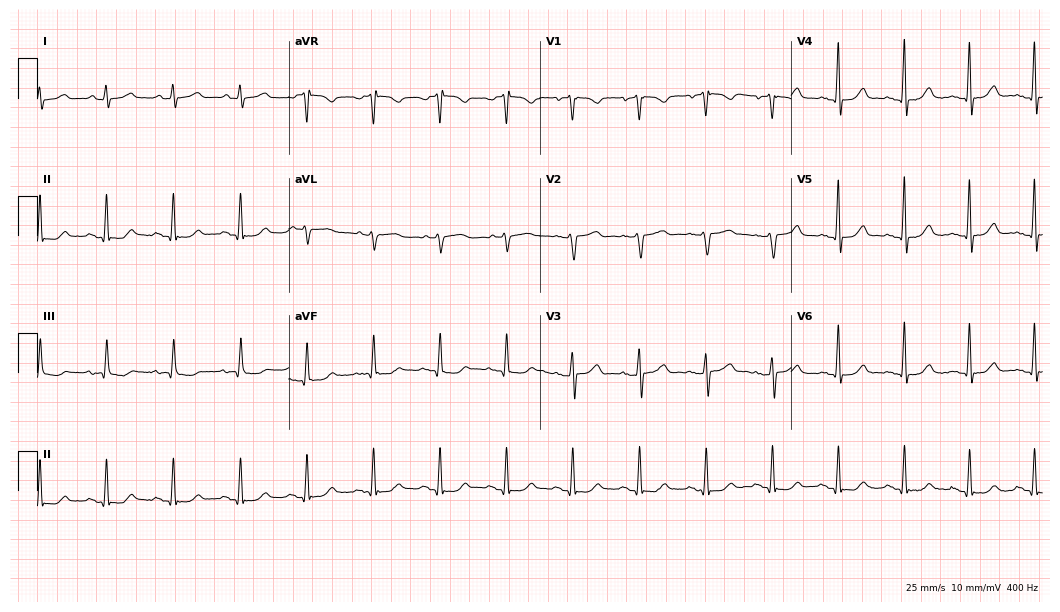
Resting 12-lead electrocardiogram. Patient: a woman, 51 years old. None of these six findings is recorded: first-degree AV block, right bundle branch block, left bundle branch block, sinus bradycardia, atrial fibrillation, sinus tachycardia. Only these six findings were labelled.